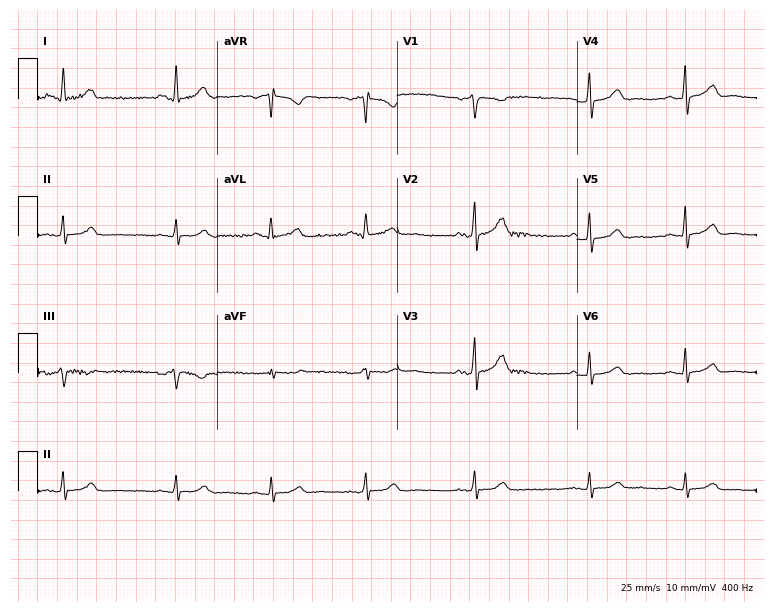
12-lead ECG from a female patient, 43 years old. Screened for six findings — first-degree AV block, right bundle branch block (RBBB), left bundle branch block (LBBB), sinus bradycardia, atrial fibrillation (AF), sinus tachycardia — none is recorded. Only these six findings were labelled.